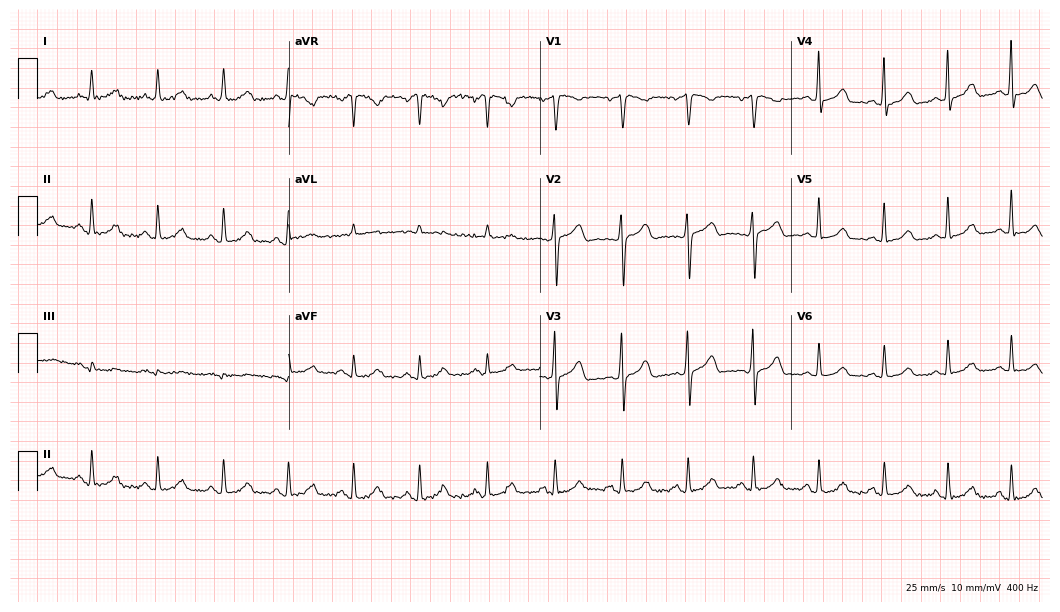
Standard 12-lead ECG recorded from a 62-year-old female (10.2-second recording at 400 Hz). None of these six findings is recorded: first-degree AV block, right bundle branch block, left bundle branch block, sinus bradycardia, atrial fibrillation, sinus tachycardia.